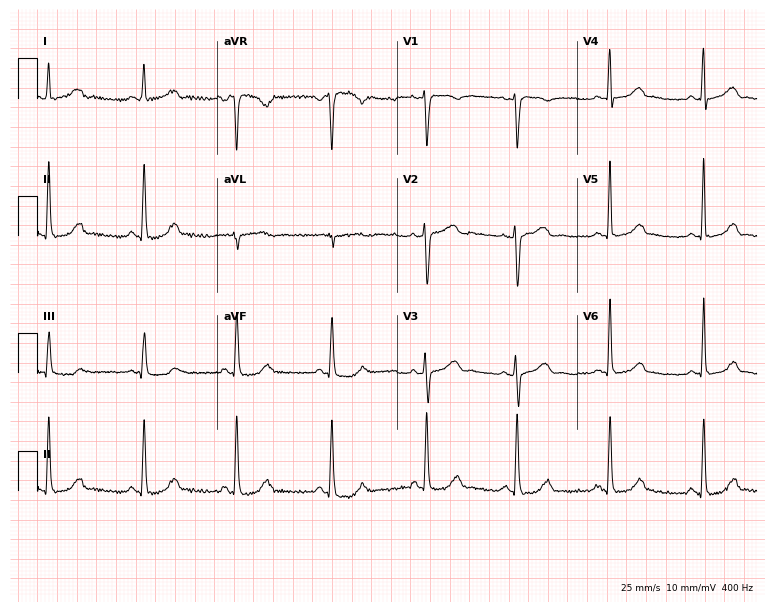
ECG — a 41-year-old female. Labelled as a normal ECG.